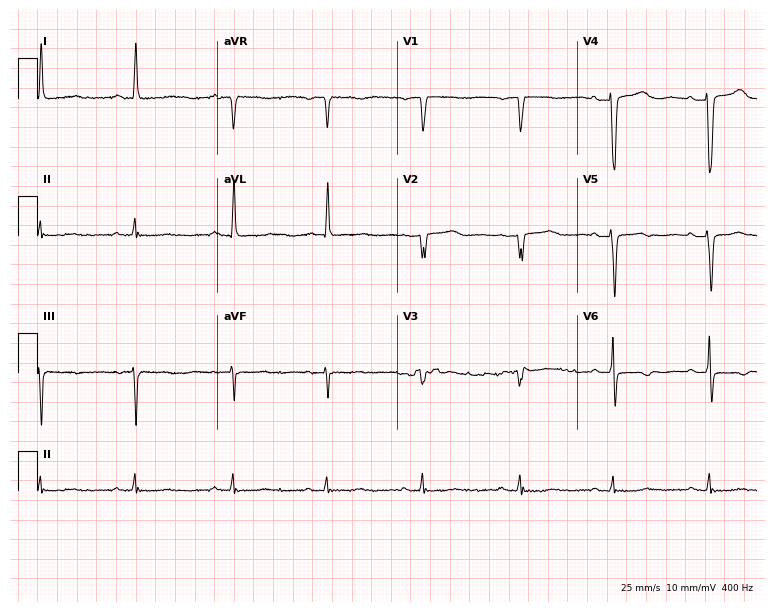
ECG (7.3-second recording at 400 Hz) — a 57-year-old female patient. Screened for six findings — first-degree AV block, right bundle branch block, left bundle branch block, sinus bradycardia, atrial fibrillation, sinus tachycardia — none is recorded.